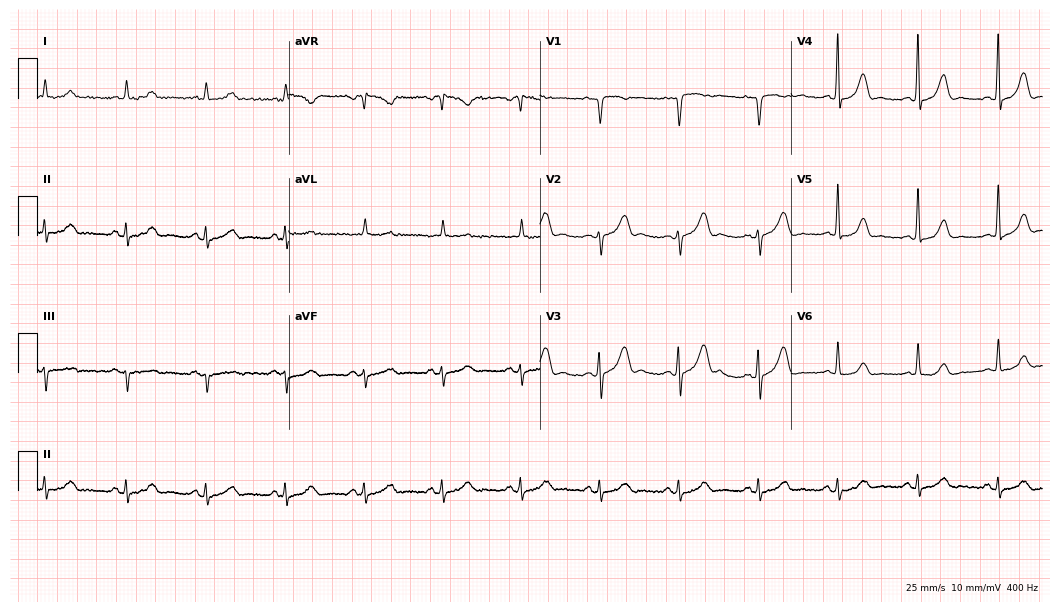
Electrocardiogram (10.2-second recording at 400 Hz), a female patient, 63 years old. Overall reading on record: normal ECG.